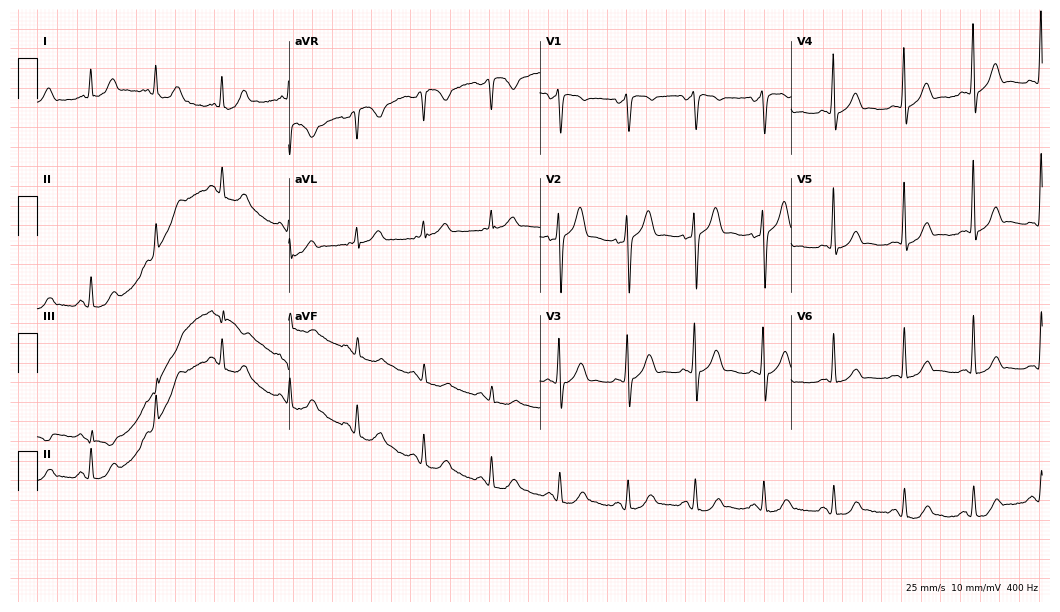
12-lead ECG from a man, 45 years old. Screened for six findings — first-degree AV block, right bundle branch block, left bundle branch block, sinus bradycardia, atrial fibrillation, sinus tachycardia — none is recorded. Other findings, if any, are not listed.